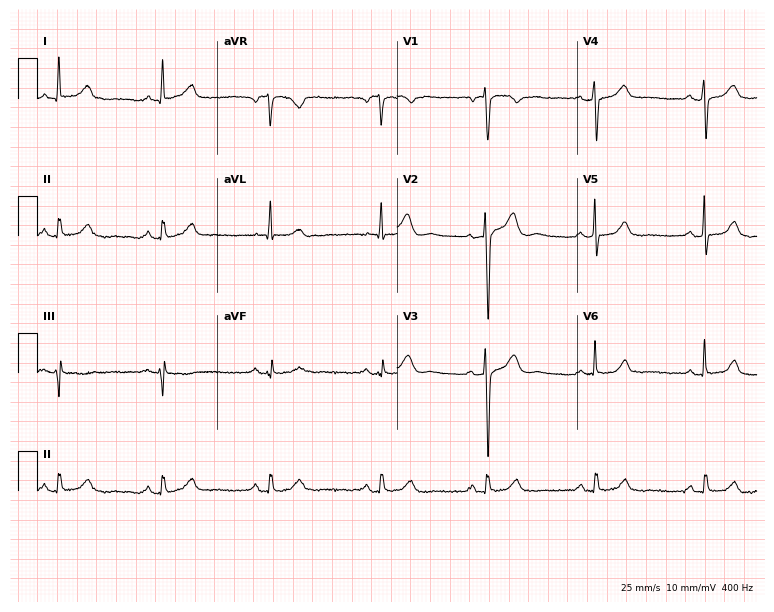
ECG (7.3-second recording at 400 Hz) — a 70-year-old male patient. Screened for six findings — first-degree AV block, right bundle branch block, left bundle branch block, sinus bradycardia, atrial fibrillation, sinus tachycardia — none is recorded.